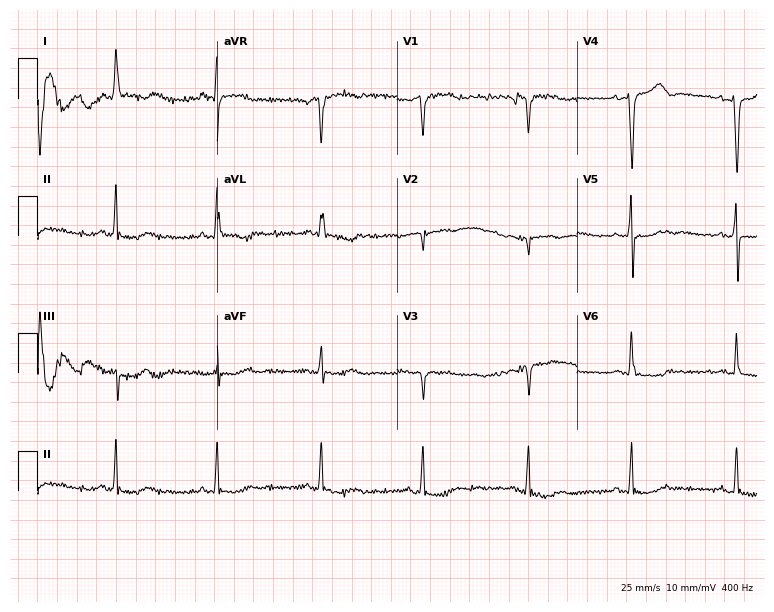
Standard 12-lead ECG recorded from a 67-year-old woman. None of these six findings is recorded: first-degree AV block, right bundle branch block, left bundle branch block, sinus bradycardia, atrial fibrillation, sinus tachycardia. Only these six findings were labelled.